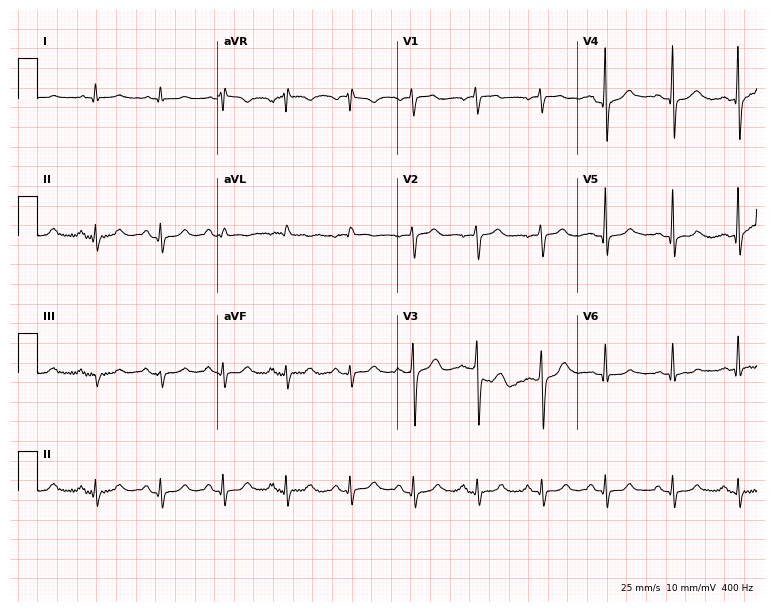
Resting 12-lead electrocardiogram (7.3-second recording at 400 Hz). Patient: a 60-year-old woman. None of these six findings is recorded: first-degree AV block, right bundle branch block, left bundle branch block, sinus bradycardia, atrial fibrillation, sinus tachycardia.